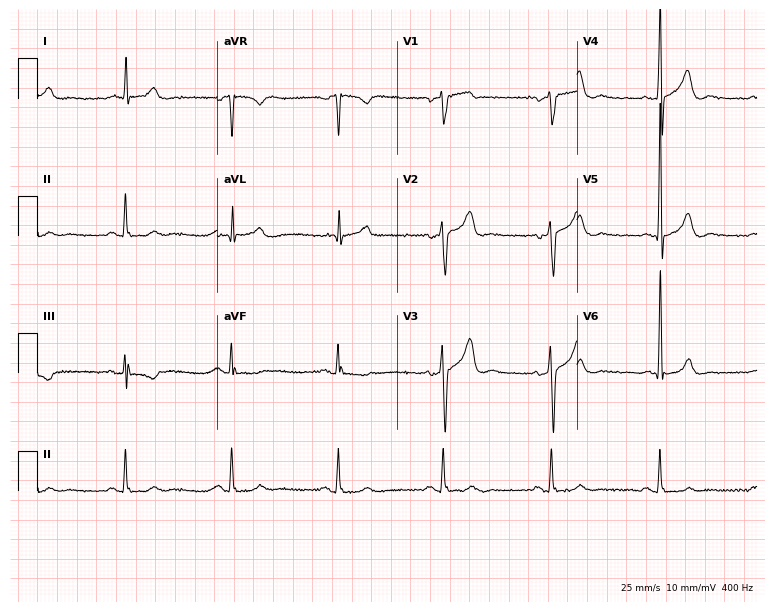
Standard 12-lead ECG recorded from a 71-year-old woman. Read as a normal ECG.